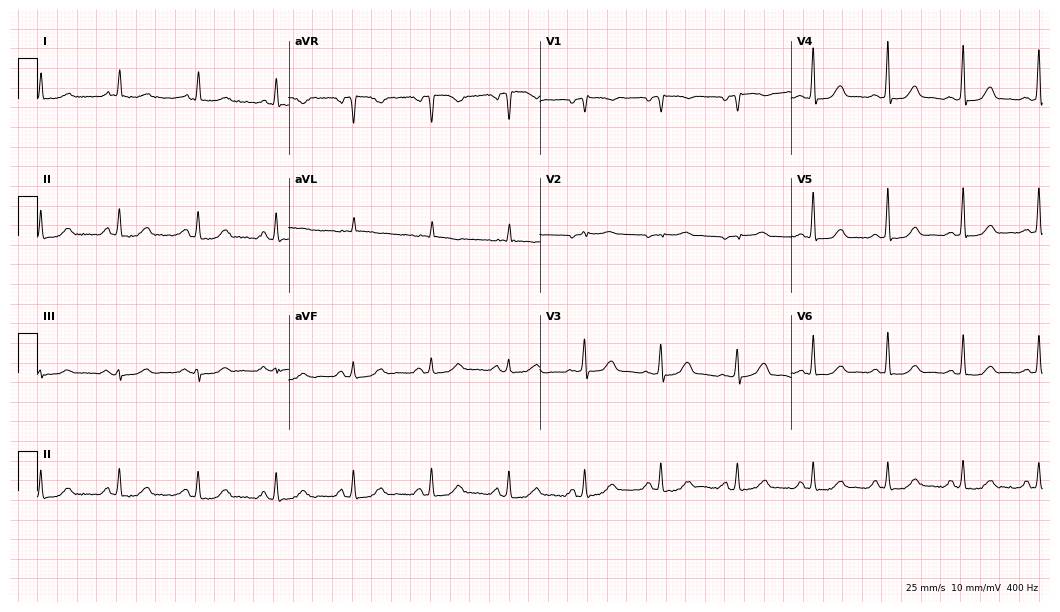
12-lead ECG from a 61-year-old female. No first-degree AV block, right bundle branch block, left bundle branch block, sinus bradycardia, atrial fibrillation or sinus tachycardia recorded for this tracing.